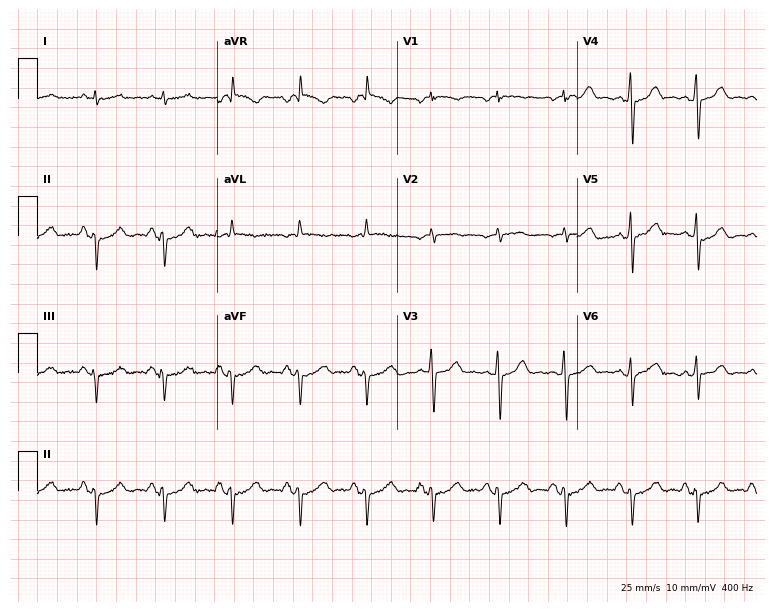
Standard 12-lead ECG recorded from a 73-year-old woman (7.3-second recording at 400 Hz). None of these six findings is recorded: first-degree AV block, right bundle branch block, left bundle branch block, sinus bradycardia, atrial fibrillation, sinus tachycardia.